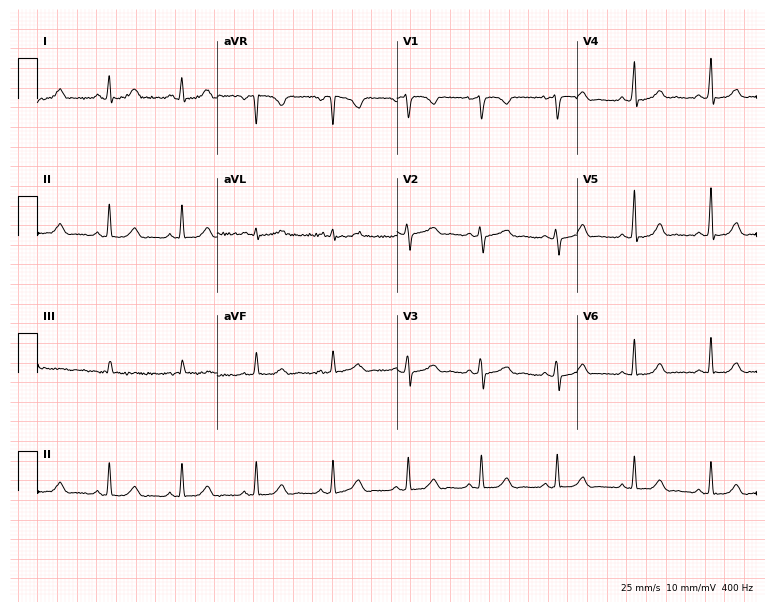
12-lead ECG (7.3-second recording at 400 Hz) from a woman, 26 years old. Screened for six findings — first-degree AV block, right bundle branch block (RBBB), left bundle branch block (LBBB), sinus bradycardia, atrial fibrillation (AF), sinus tachycardia — none is recorded.